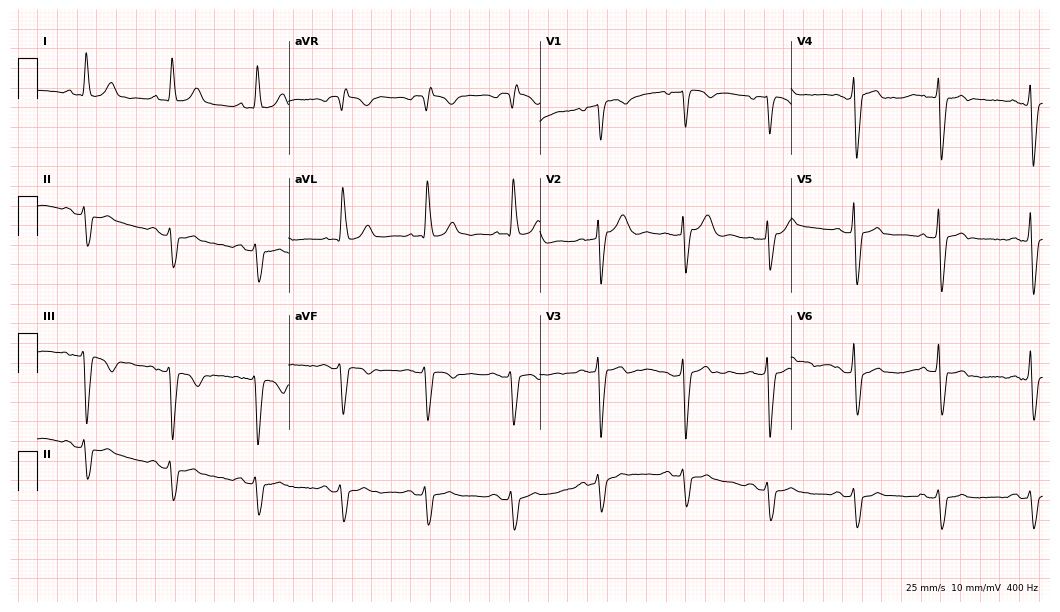
12-lead ECG from an 87-year-old male. No first-degree AV block, right bundle branch block, left bundle branch block, sinus bradycardia, atrial fibrillation or sinus tachycardia recorded for this tracing. Findings outside these six are not listed.